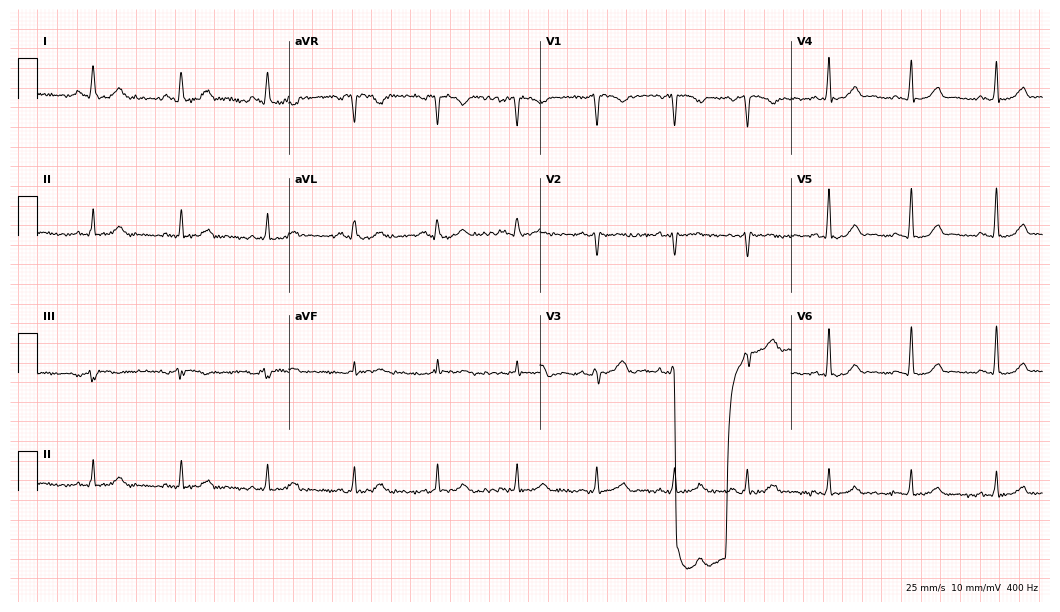
Electrocardiogram (10.2-second recording at 400 Hz), a 23-year-old female patient. Of the six screened findings (first-degree AV block, right bundle branch block, left bundle branch block, sinus bradycardia, atrial fibrillation, sinus tachycardia), none is recorded.